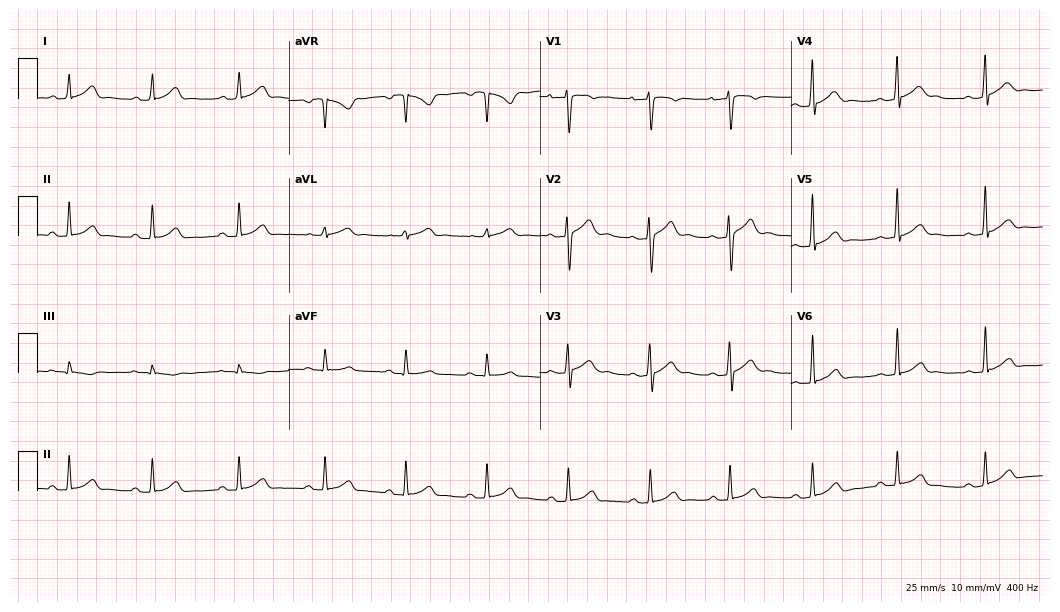
ECG — a man, 29 years old. Labelled as a normal ECG.